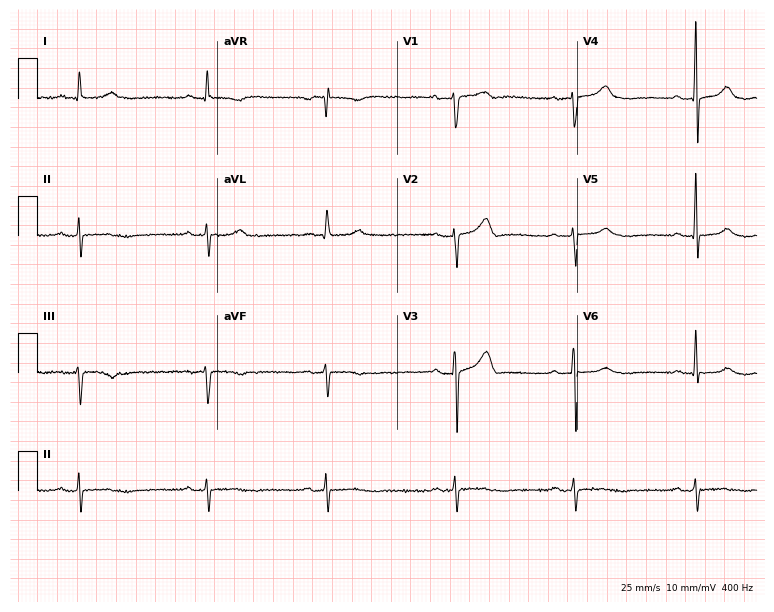
ECG (7.3-second recording at 400 Hz) — a male, 65 years old. Findings include sinus bradycardia (a sinus rate of 50 beats per minute or less).